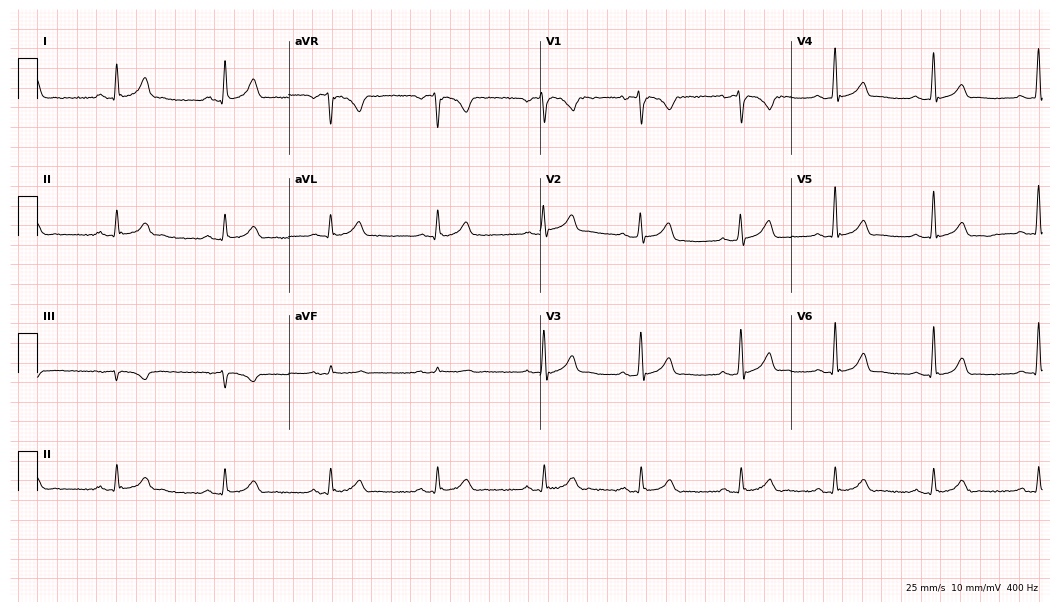
12-lead ECG from a male, 30 years old. Recorded interpretation: within normal limits.